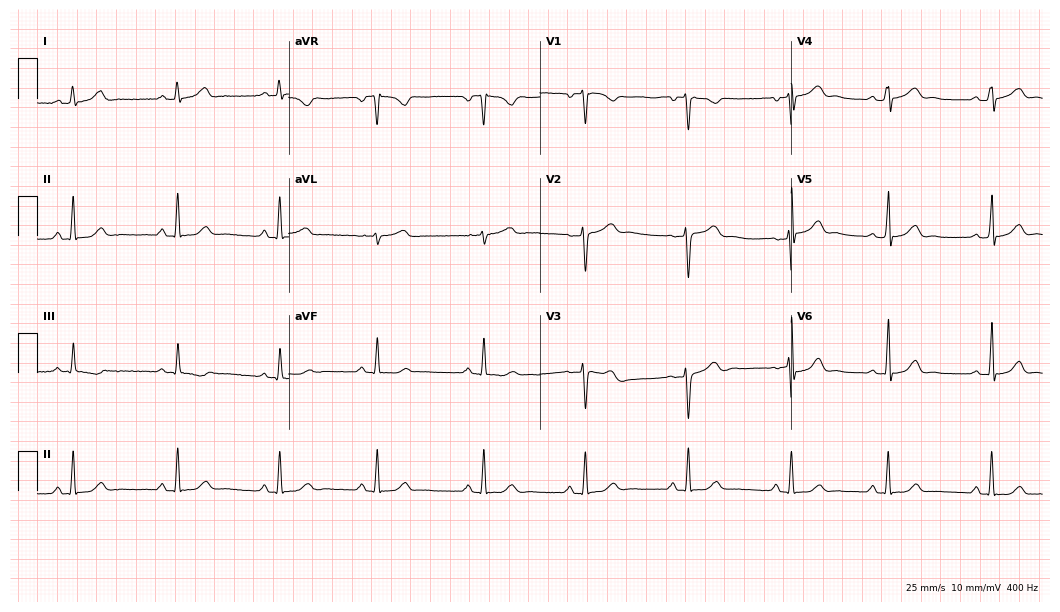
Resting 12-lead electrocardiogram (10.2-second recording at 400 Hz). Patient: a 36-year-old female. None of these six findings is recorded: first-degree AV block, right bundle branch block, left bundle branch block, sinus bradycardia, atrial fibrillation, sinus tachycardia. Findings outside these six are not listed.